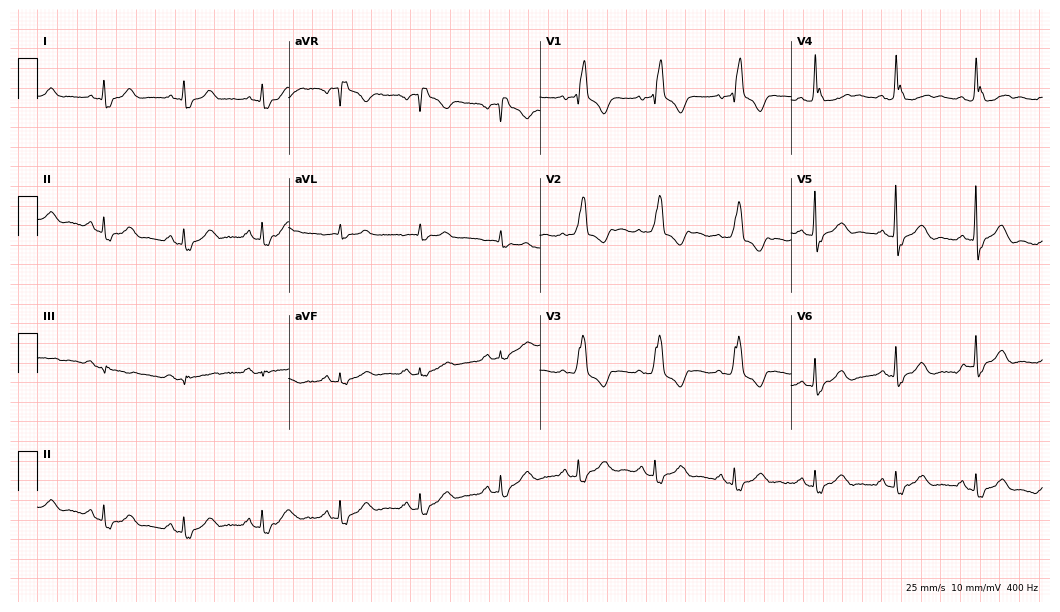
ECG (10.2-second recording at 400 Hz) — a female patient, 72 years old. Screened for six findings — first-degree AV block, right bundle branch block (RBBB), left bundle branch block (LBBB), sinus bradycardia, atrial fibrillation (AF), sinus tachycardia — none is recorded. Findings outside these six are not listed.